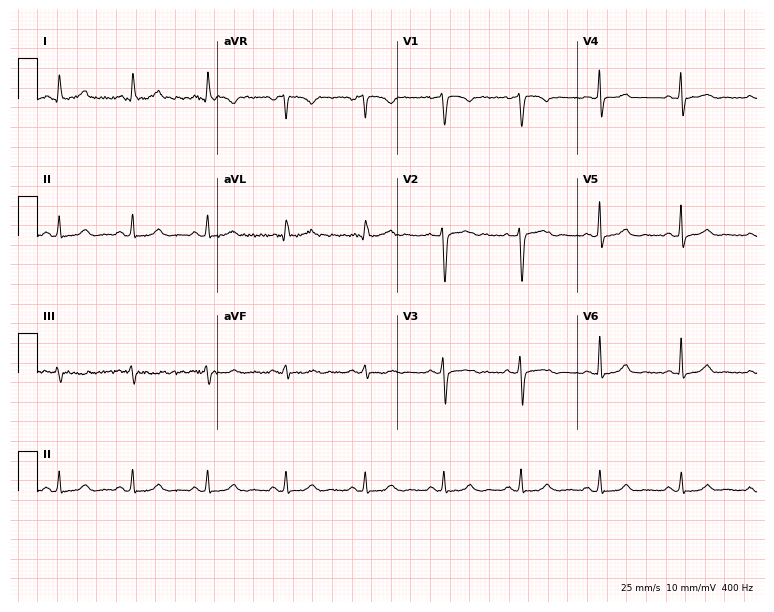
ECG — a 40-year-old woman. Labelled as a normal ECG.